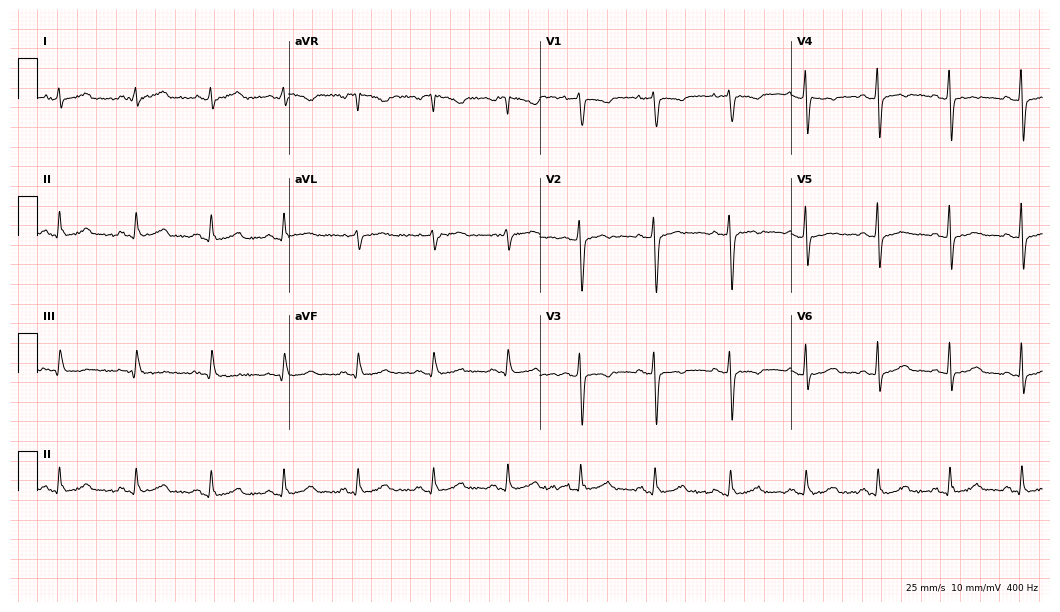
ECG — a female, 27 years old. Screened for six findings — first-degree AV block, right bundle branch block, left bundle branch block, sinus bradycardia, atrial fibrillation, sinus tachycardia — none is recorded.